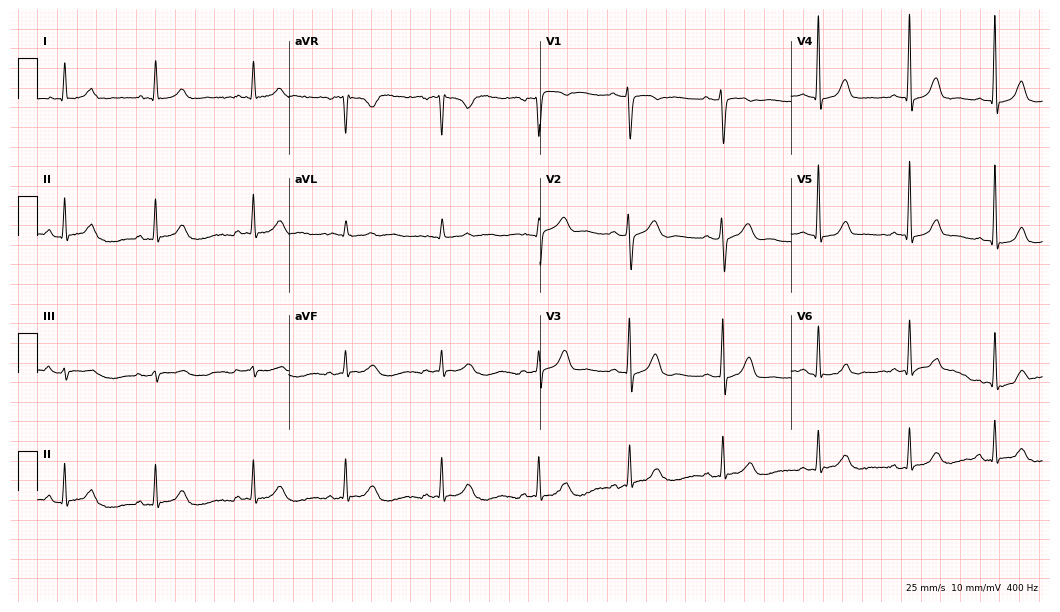
Resting 12-lead electrocardiogram (10.2-second recording at 400 Hz). Patient: a 50-year-old female. Read as a normal ECG.